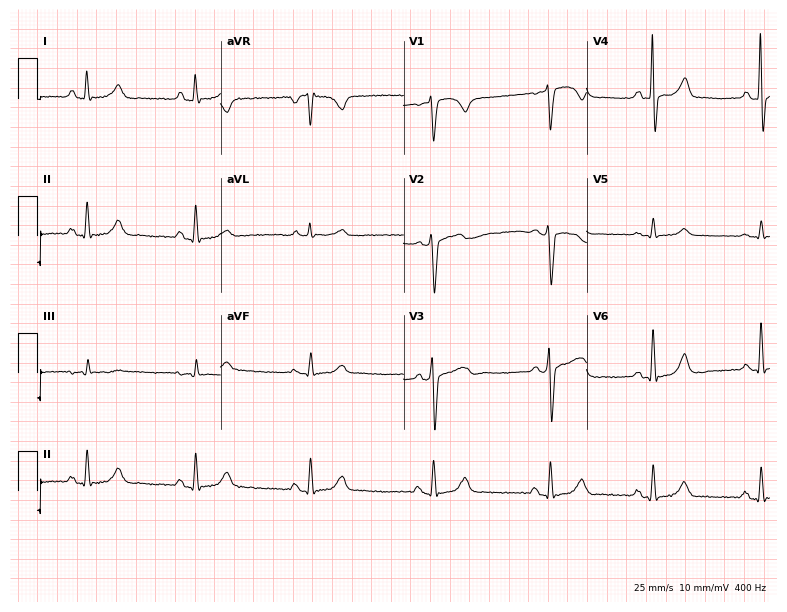
ECG — a 57-year-old male patient. Labelled as a normal ECG.